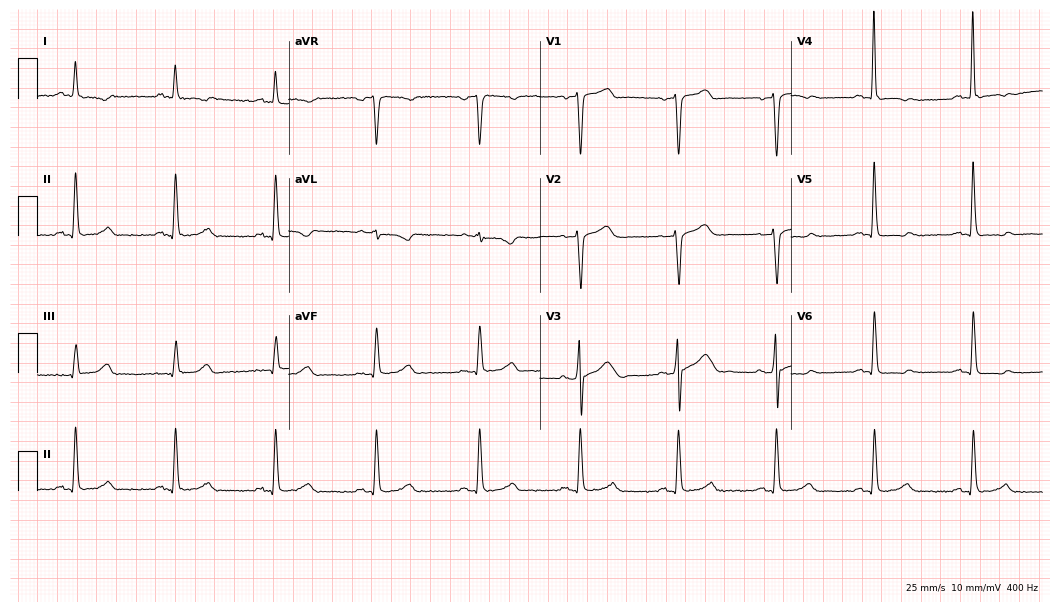
12-lead ECG from a female, 68 years old. No first-degree AV block, right bundle branch block, left bundle branch block, sinus bradycardia, atrial fibrillation or sinus tachycardia recorded for this tracing. Findings outside these six are not listed.